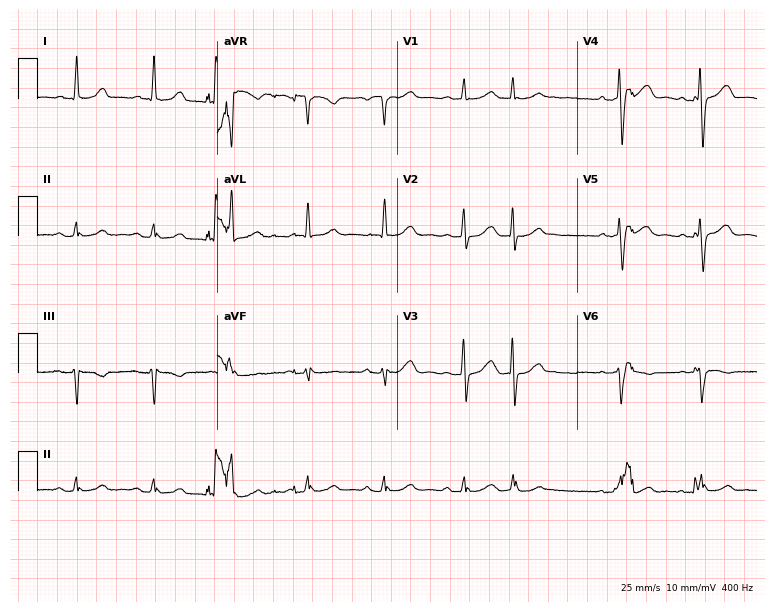
ECG — a 73-year-old woman. Labelled as a normal ECG.